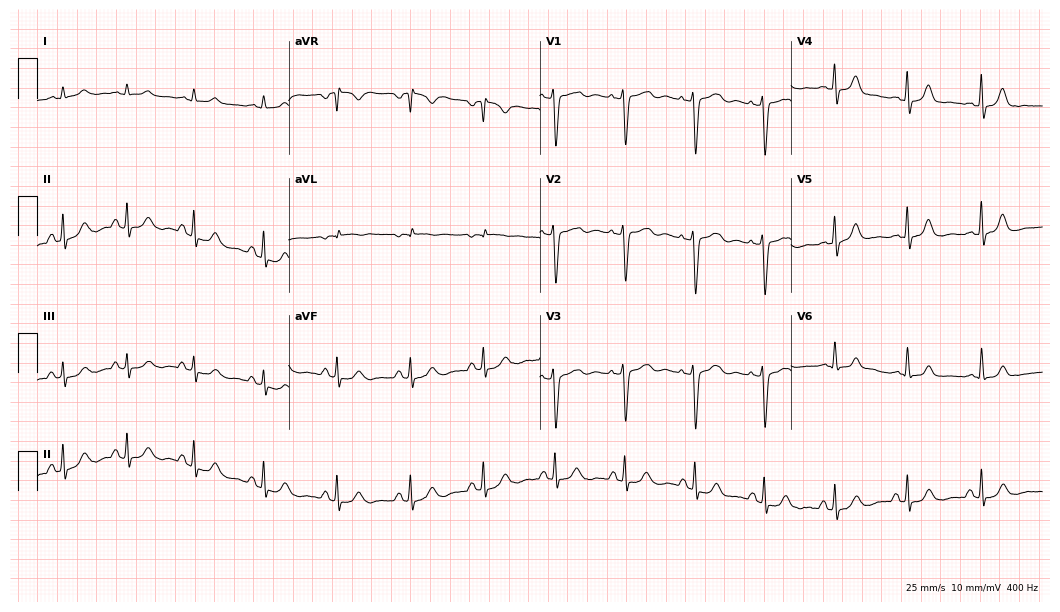
12-lead ECG from a male patient, 48 years old (10.2-second recording at 400 Hz). No first-degree AV block, right bundle branch block, left bundle branch block, sinus bradycardia, atrial fibrillation or sinus tachycardia recorded for this tracing.